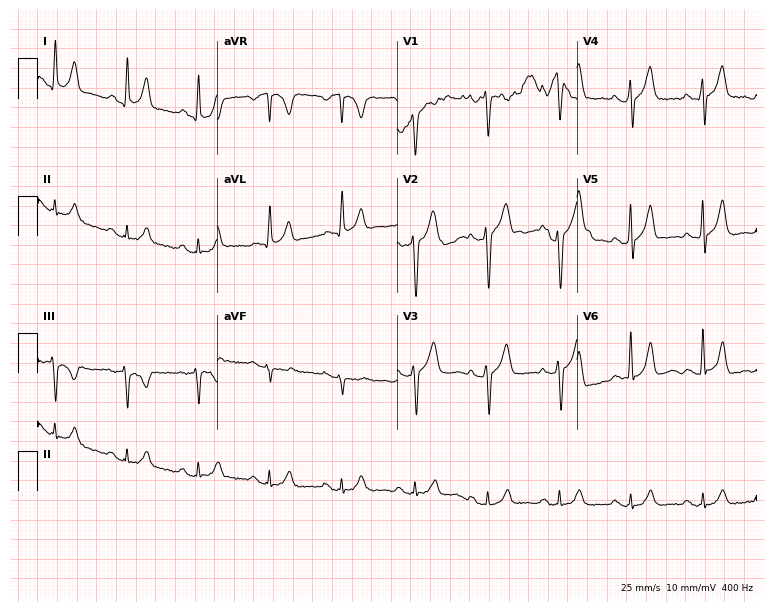
Electrocardiogram, a male patient, 47 years old. Of the six screened findings (first-degree AV block, right bundle branch block (RBBB), left bundle branch block (LBBB), sinus bradycardia, atrial fibrillation (AF), sinus tachycardia), none is recorded.